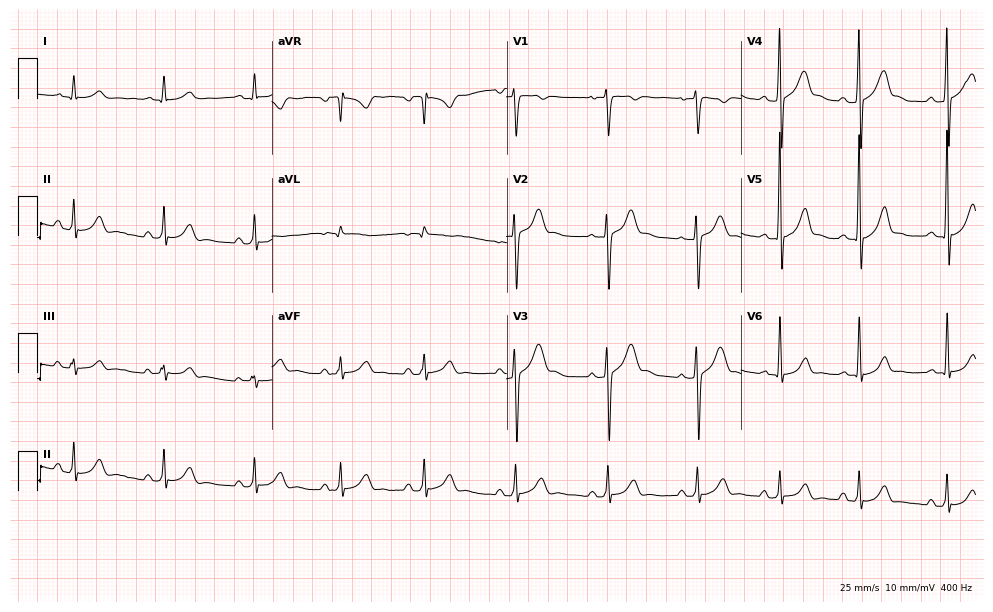
Resting 12-lead electrocardiogram. Patient: a 21-year-old male. Read as a normal ECG.